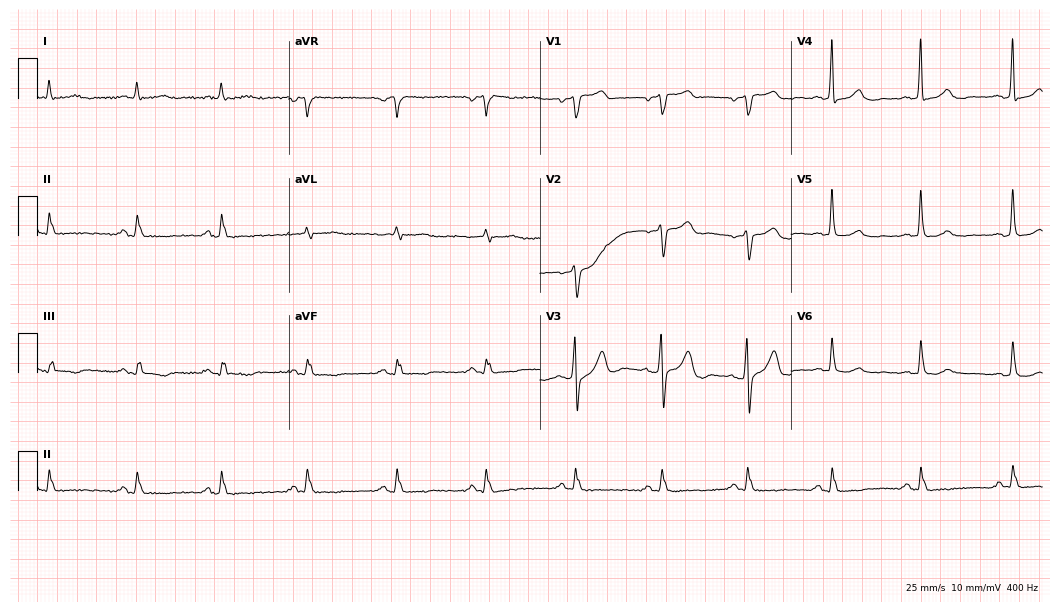
Electrocardiogram, a 54-year-old male patient. Of the six screened findings (first-degree AV block, right bundle branch block, left bundle branch block, sinus bradycardia, atrial fibrillation, sinus tachycardia), none is recorded. Other findings, if any, are not listed.